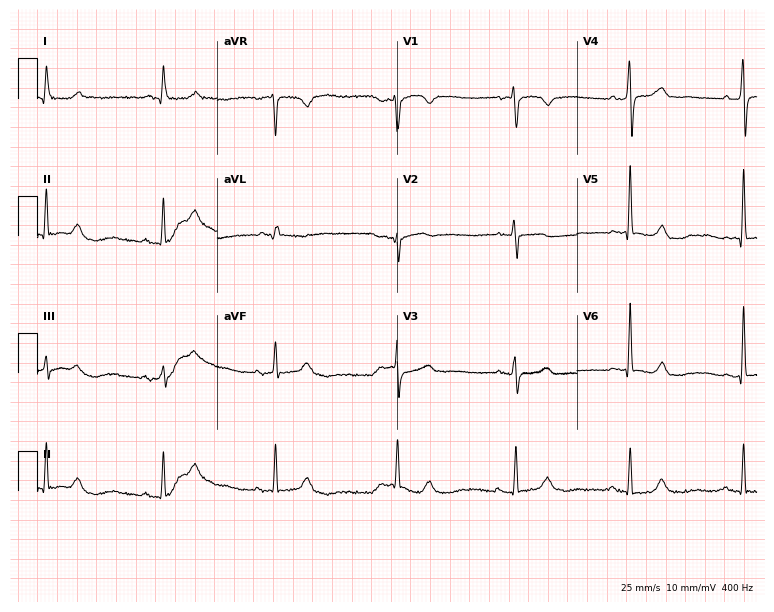
ECG — a female, 71 years old. Labelled as a normal ECG.